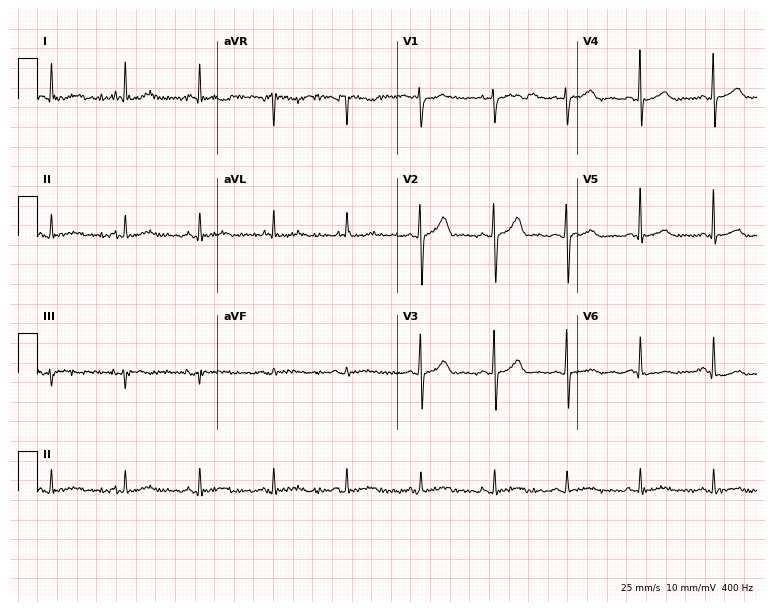
Electrocardiogram, a man, 56 years old. Overall reading on record: normal ECG.